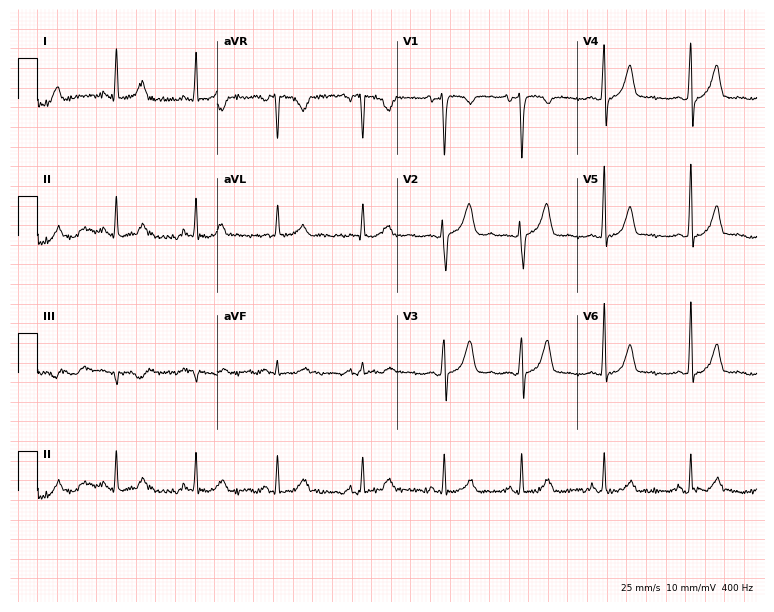
12-lead ECG from a female, 38 years old. Screened for six findings — first-degree AV block, right bundle branch block, left bundle branch block, sinus bradycardia, atrial fibrillation, sinus tachycardia — none is recorded.